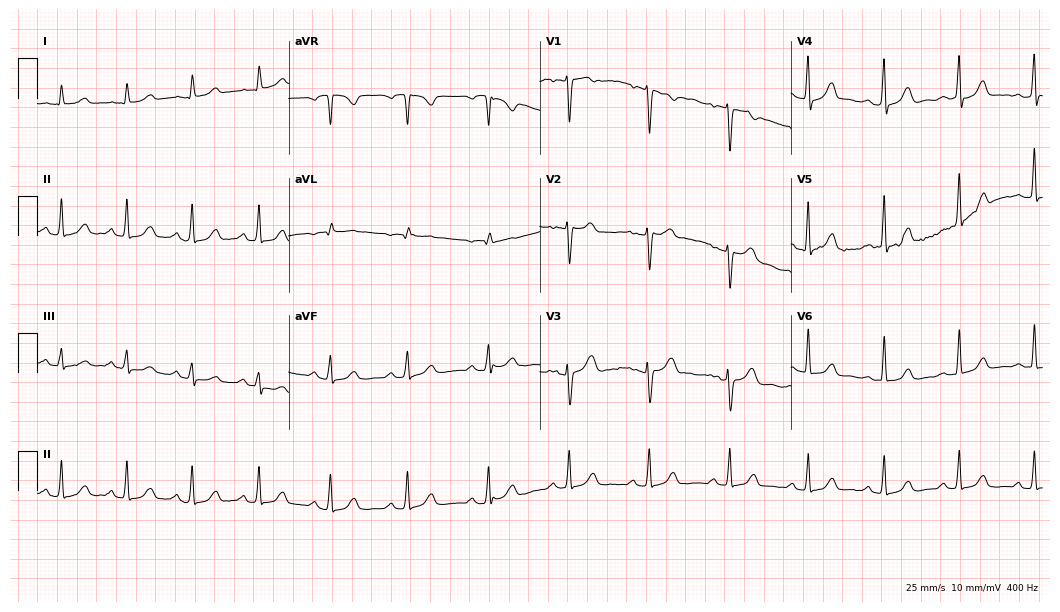
12-lead ECG from a female, 49 years old. Labelled as a normal ECG.